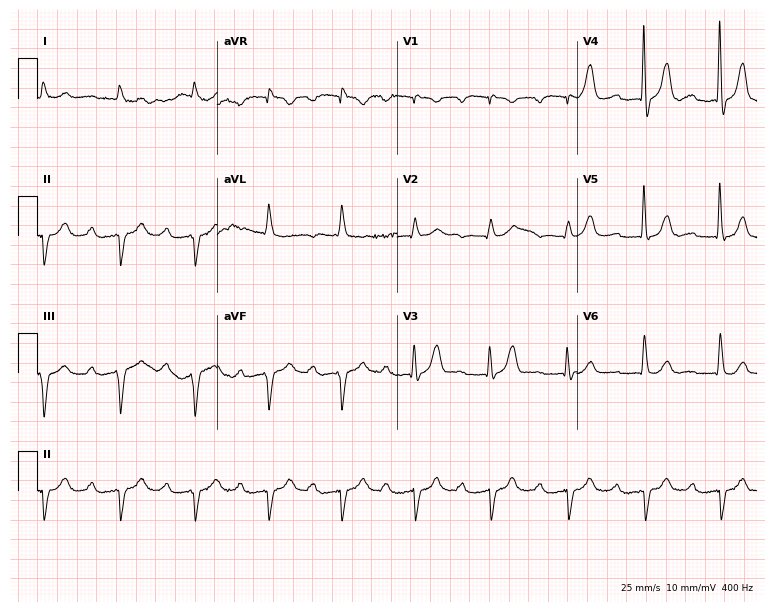
12-lead ECG from a male patient, 79 years old (7.3-second recording at 400 Hz). Shows first-degree AV block.